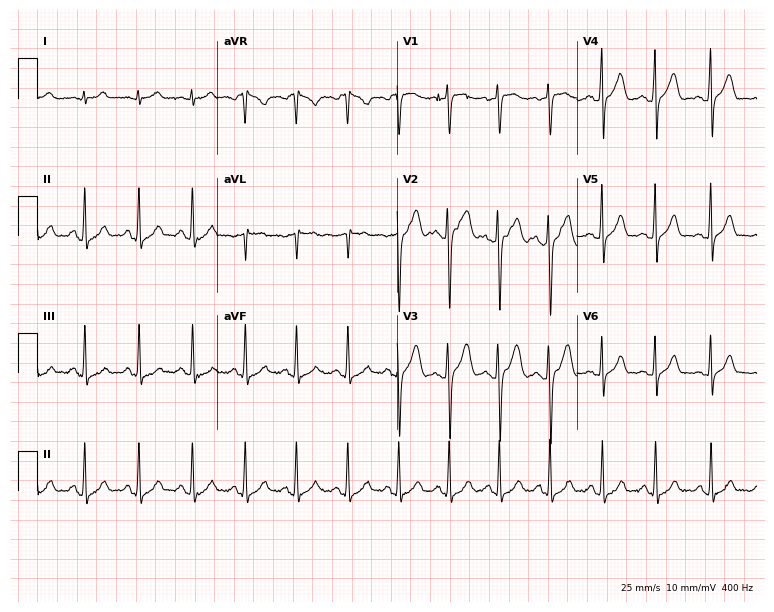
12-lead ECG from a male, 40 years old. Shows sinus tachycardia (a sinus rate of 100 beats per minute or more).